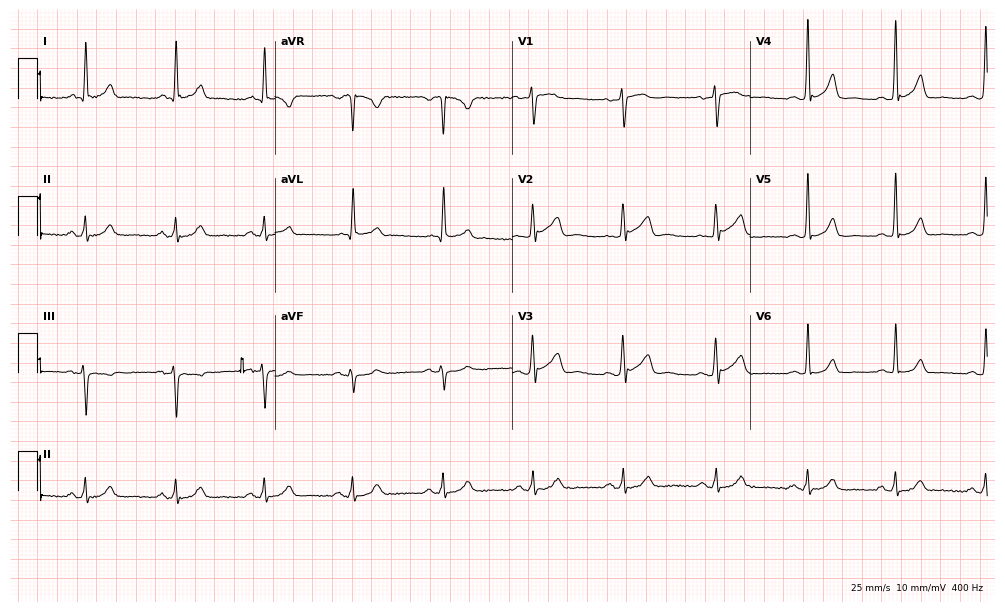
Resting 12-lead electrocardiogram (9.7-second recording at 400 Hz). Patient: a man, 55 years old. Read as a normal ECG.